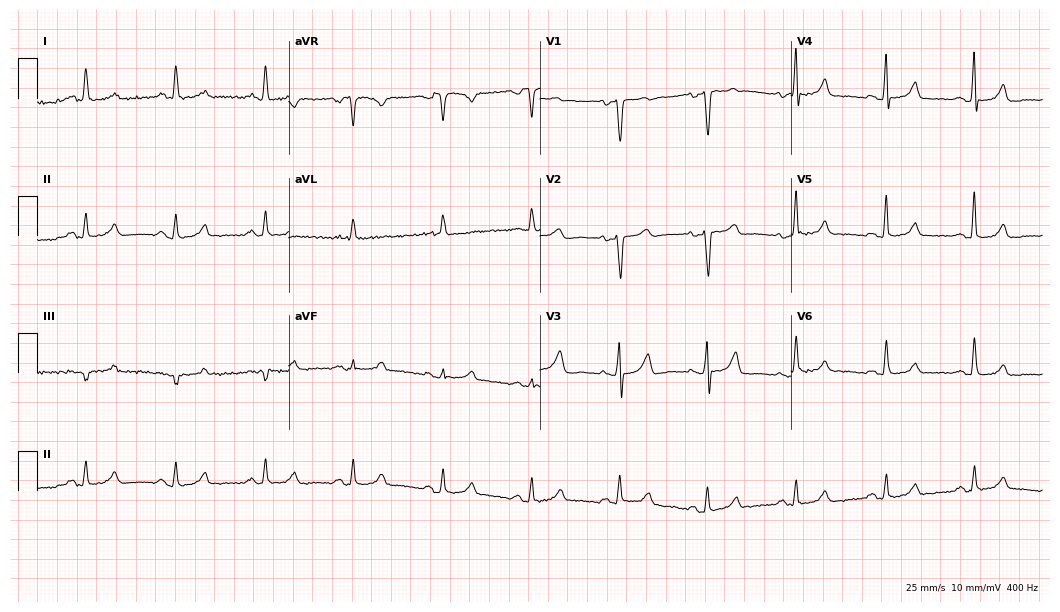
12-lead ECG from a woman, 64 years old. Recorded interpretation: within normal limits.